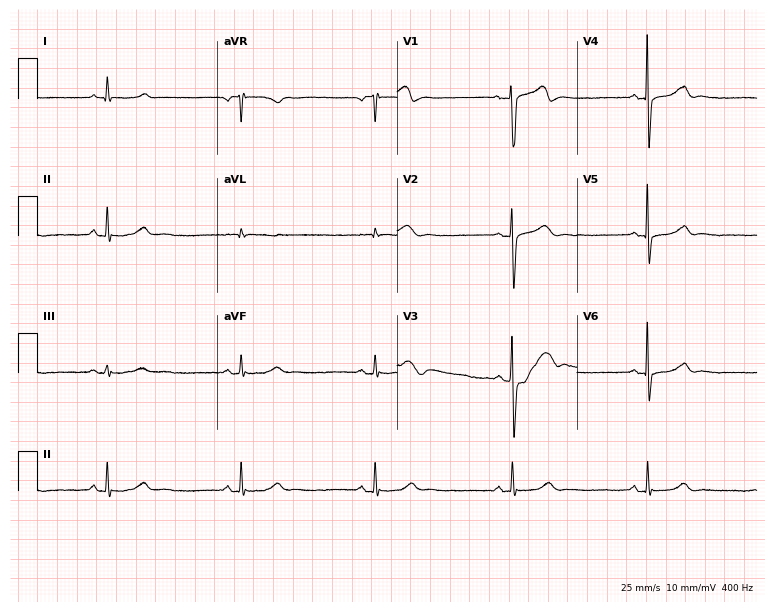
ECG (7.3-second recording at 400 Hz) — a male, 63 years old. Screened for six findings — first-degree AV block, right bundle branch block (RBBB), left bundle branch block (LBBB), sinus bradycardia, atrial fibrillation (AF), sinus tachycardia — none is recorded. Other findings, if any, are not listed.